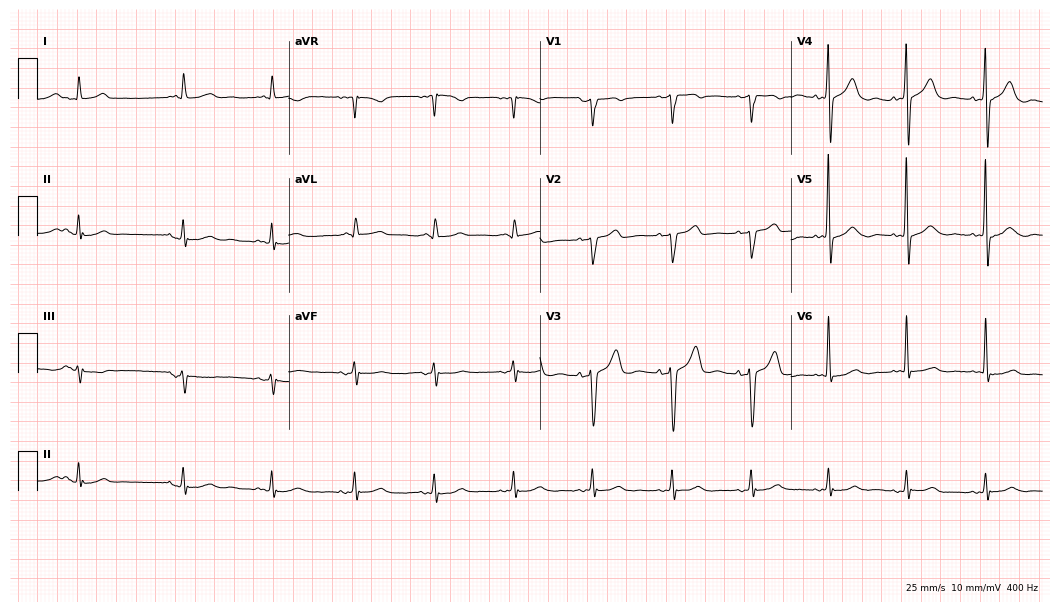
Electrocardiogram (10.2-second recording at 400 Hz), a male, 78 years old. Of the six screened findings (first-degree AV block, right bundle branch block, left bundle branch block, sinus bradycardia, atrial fibrillation, sinus tachycardia), none is recorded. Only these six findings were labelled.